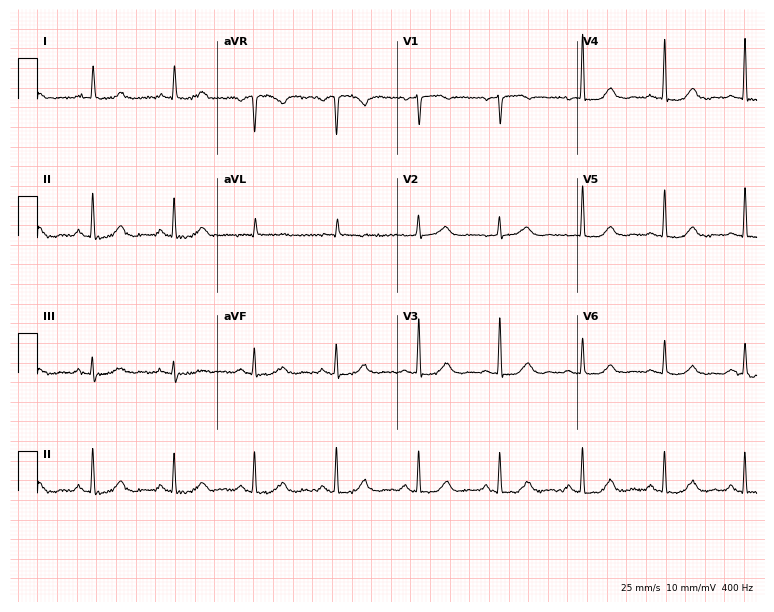
12-lead ECG from a woman, 82 years old. Screened for six findings — first-degree AV block, right bundle branch block, left bundle branch block, sinus bradycardia, atrial fibrillation, sinus tachycardia — none is recorded.